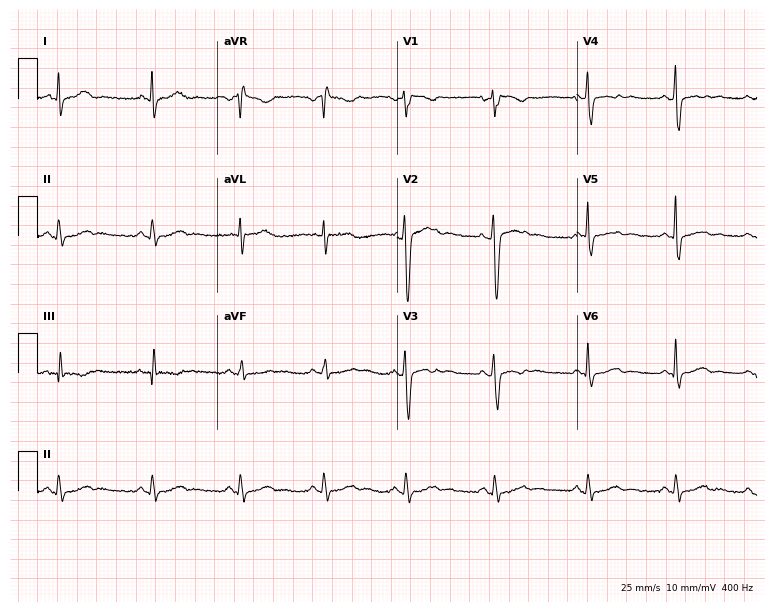
12-lead ECG from a 28-year-old female patient. Screened for six findings — first-degree AV block, right bundle branch block (RBBB), left bundle branch block (LBBB), sinus bradycardia, atrial fibrillation (AF), sinus tachycardia — none is recorded. Findings outside these six are not listed.